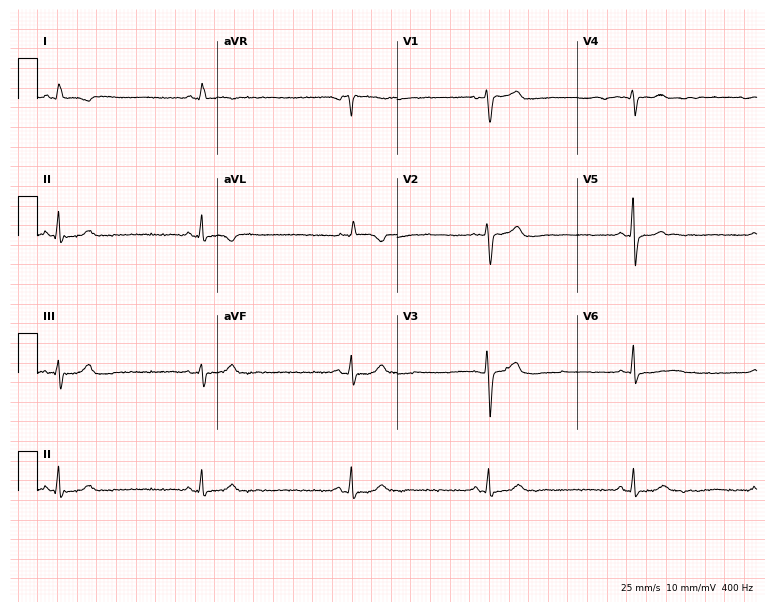
12-lead ECG (7.3-second recording at 400 Hz) from a woman, 60 years old. Findings include sinus bradycardia (a sinus rate of 50 beats per minute or less).